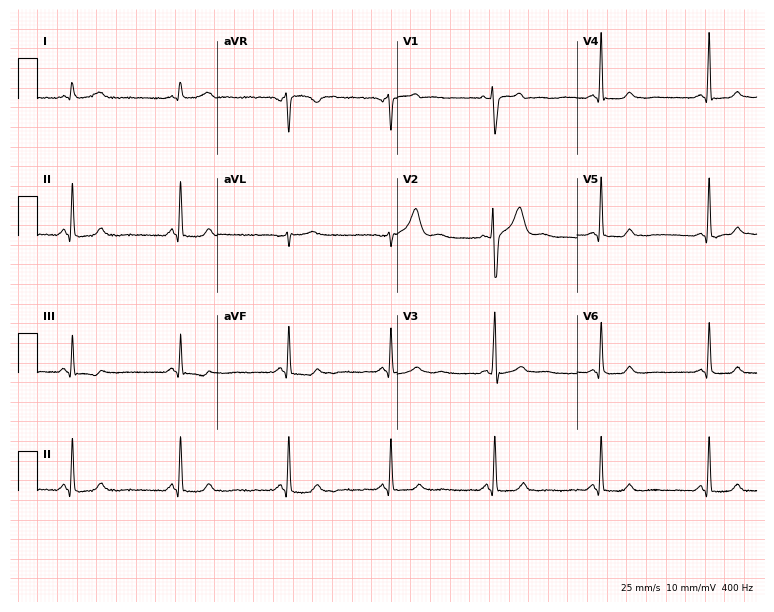
Standard 12-lead ECG recorded from a male patient, 43 years old (7.3-second recording at 400 Hz). Read as a normal ECG.